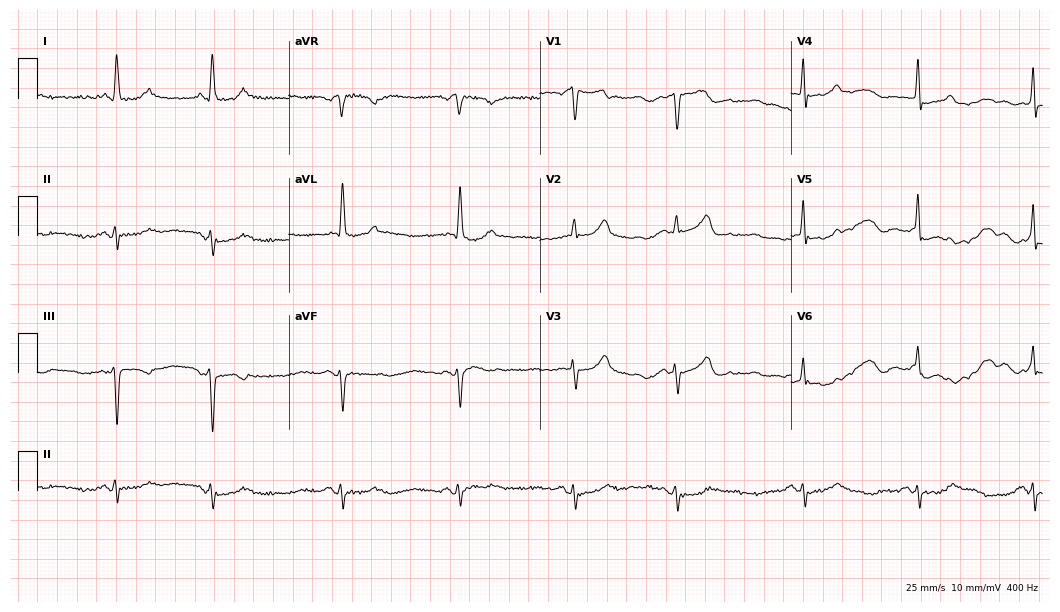
12-lead ECG from a 75-year-old woman. Screened for six findings — first-degree AV block, right bundle branch block (RBBB), left bundle branch block (LBBB), sinus bradycardia, atrial fibrillation (AF), sinus tachycardia — none is recorded. Only these six findings were labelled.